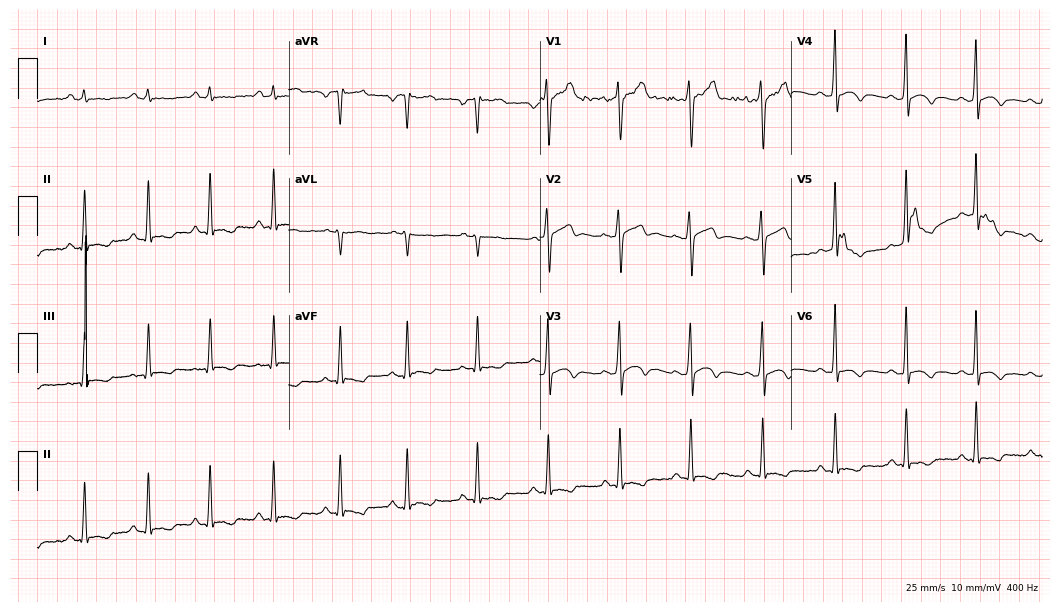
Resting 12-lead electrocardiogram (10.2-second recording at 400 Hz). Patient: a 22-year-old male. None of these six findings is recorded: first-degree AV block, right bundle branch block, left bundle branch block, sinus bradycardia, atrial fibrillation, sinus tachycardia.